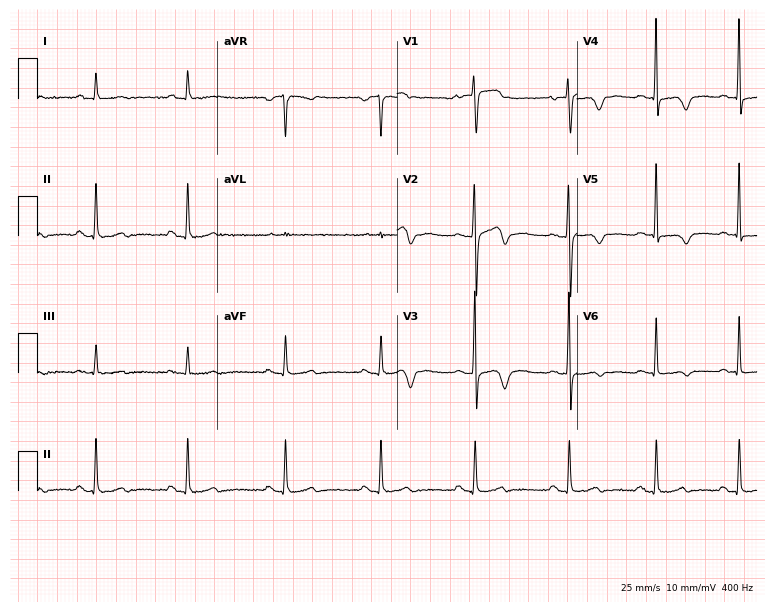
Electrocardiogram (7.3-second recording at 400 Hz), a 49-year-old female. Of the six screened findings (first-degree AV block, right bundle branch block, left bundle branch block, sinus bradycardia, atrial fibrillation, sinus tachycardia), none is recorded.